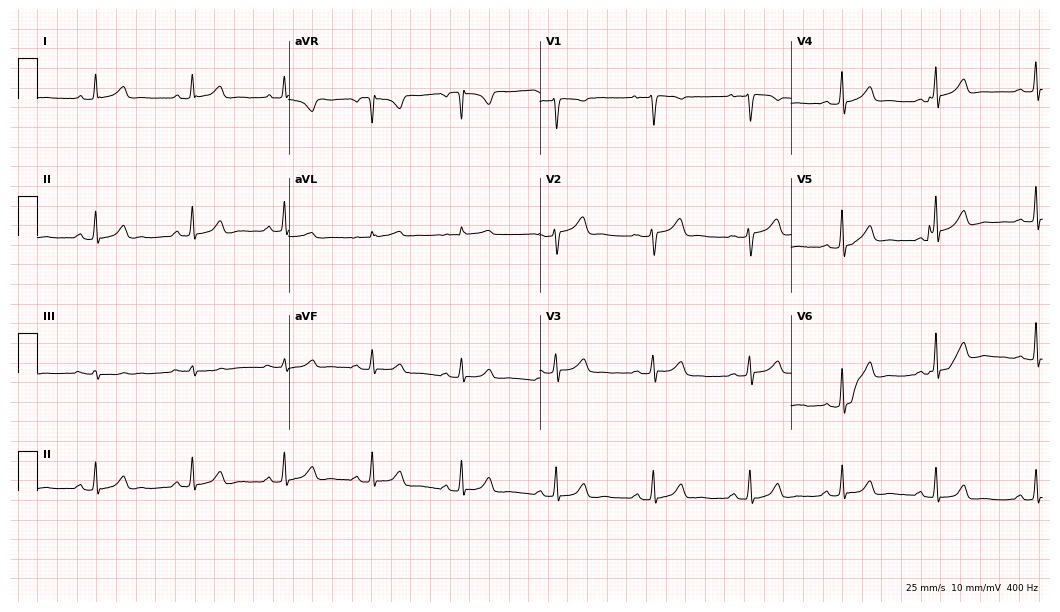
Standard 12-lead ECG recorded from a 42-year-old woman (10.2-second recording at 400 Hz). Read as a normal ECG.